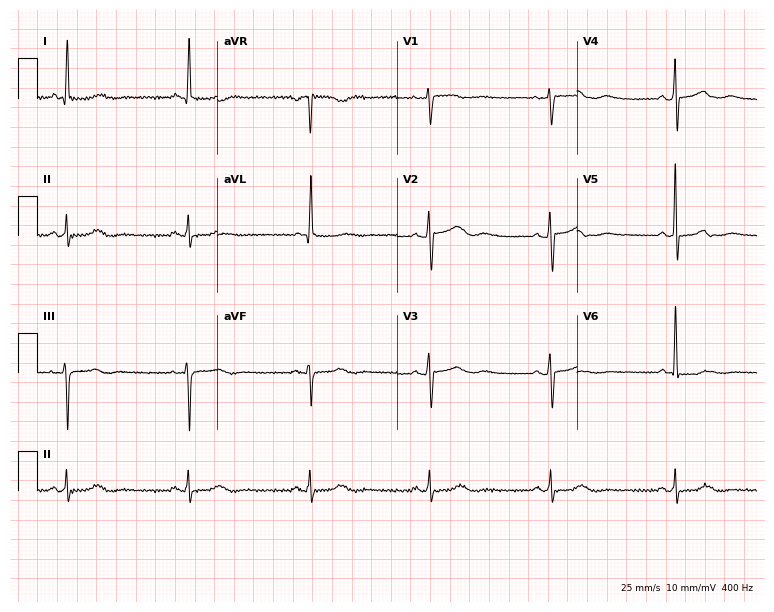
Electrocardiogram (7.3-second recording at 400 Hz), a 57-year-old woman. Of the six screened findings (first-degree AV block, right bundle branch block, left bundle branch block, sinus bradycardia, atrial fibrillation, sinus tachycardia), none is recorded.